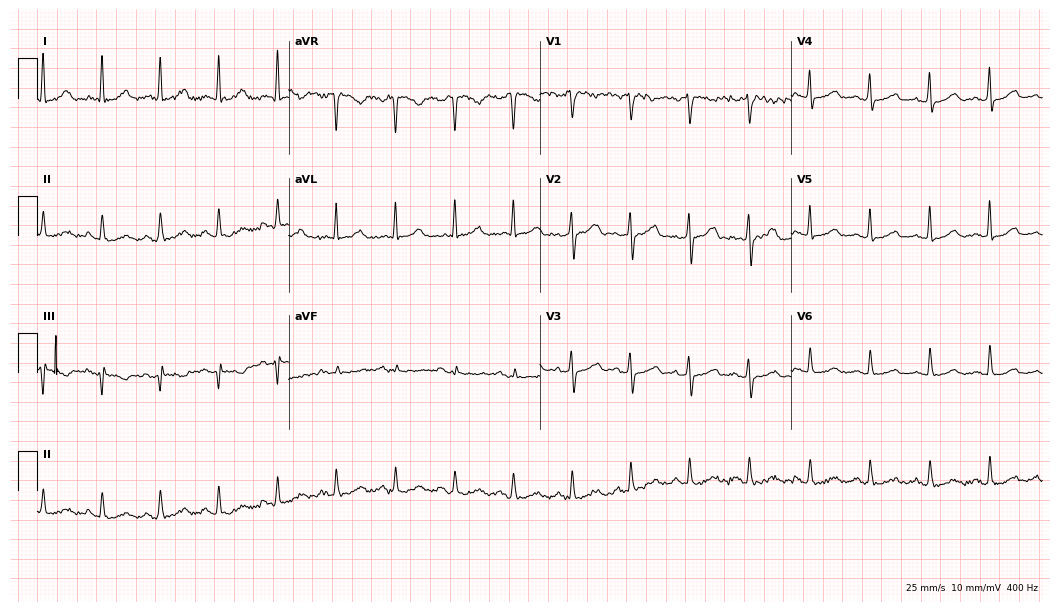
Resting 12-lead electrocardiogram (10.2-second recording at 400 Hz). Patient: a 58-year-old woman. None of these six findings is recorded: first-degree AV block, right bundle branch block (RBBB), left bundle branch block (LBBB), sinus bradycardia, atrial fibrillation (AF), sinus tachycardia. Findings outside these six are not listed.